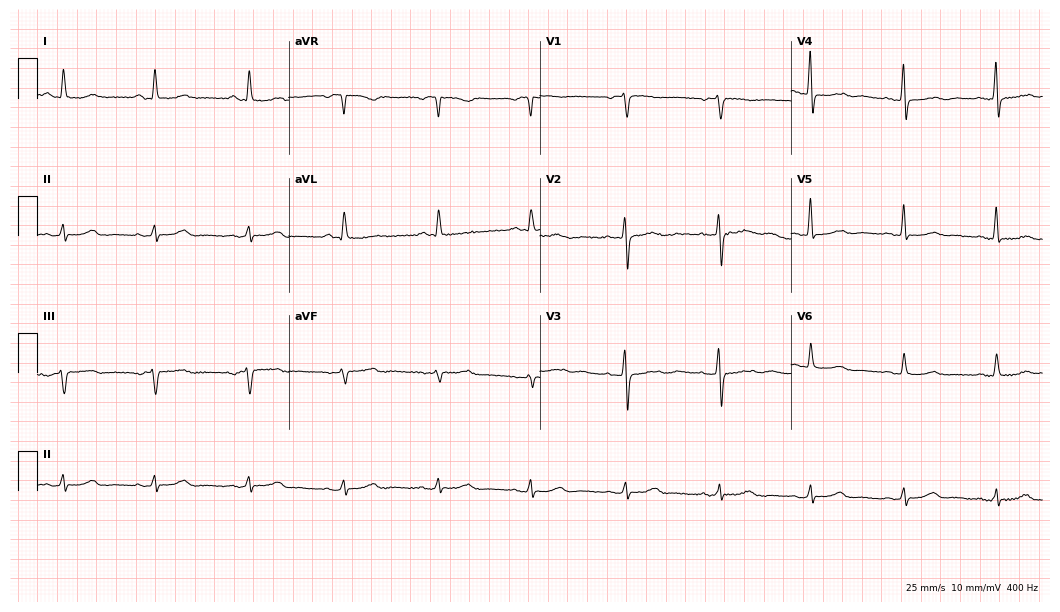
Electrocardiogram (10.2-second recording at 400 Hz), a woman, 76 years old. Of the six screened findings (first-degree AV block, right bundle branch block (RBBB), left bundle branch block (LBBB), sinus bradycardia, atrial fibrillation (AF), sinus tachycardia), none is recorded.